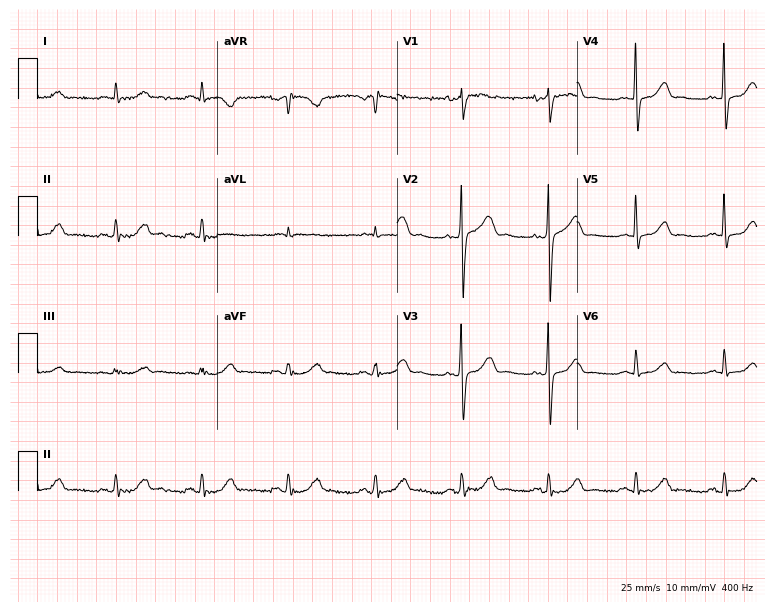
Standard 12-lead ECG recorded from a 72-year-old male. None of these six findings is recorded: first-degree AV block, right bundle branch block, left bundle branch block, sinus bradycardia, atrial fibrillation, sinus tachycardia.